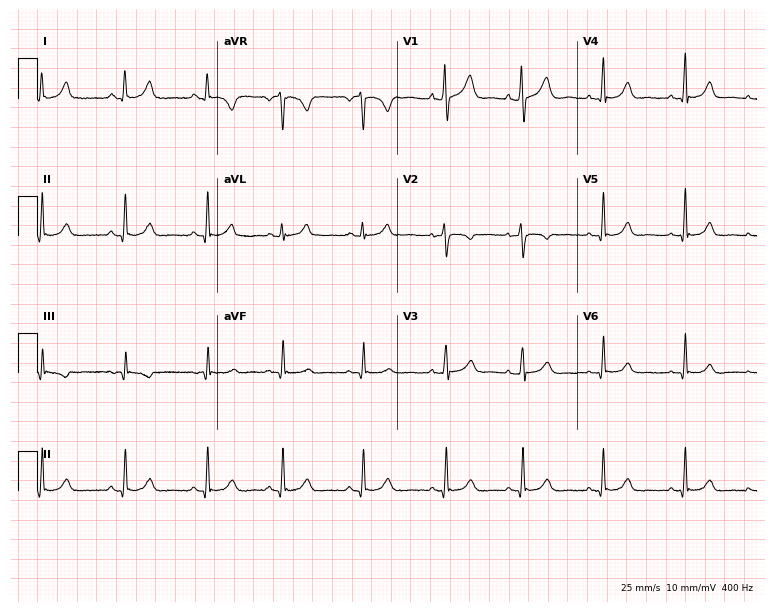
Standard 12-lead ECG recorded from a 42-year-old woman. None of these six findings is recorded: first-degree AV block, right bundle branch block, left bundle branch block, sinus bradycardia, atrial fibrillation, sinus tachycardia. Only these six findings were labelled.